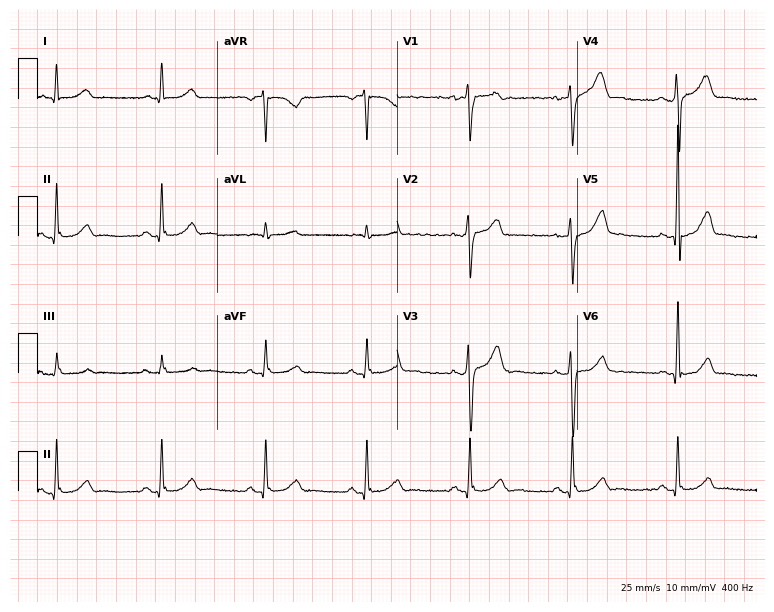
12-lead ECG (7.3-second recording at 400 Hz) from a 45-year-old man. Labelled as a normal ECG.